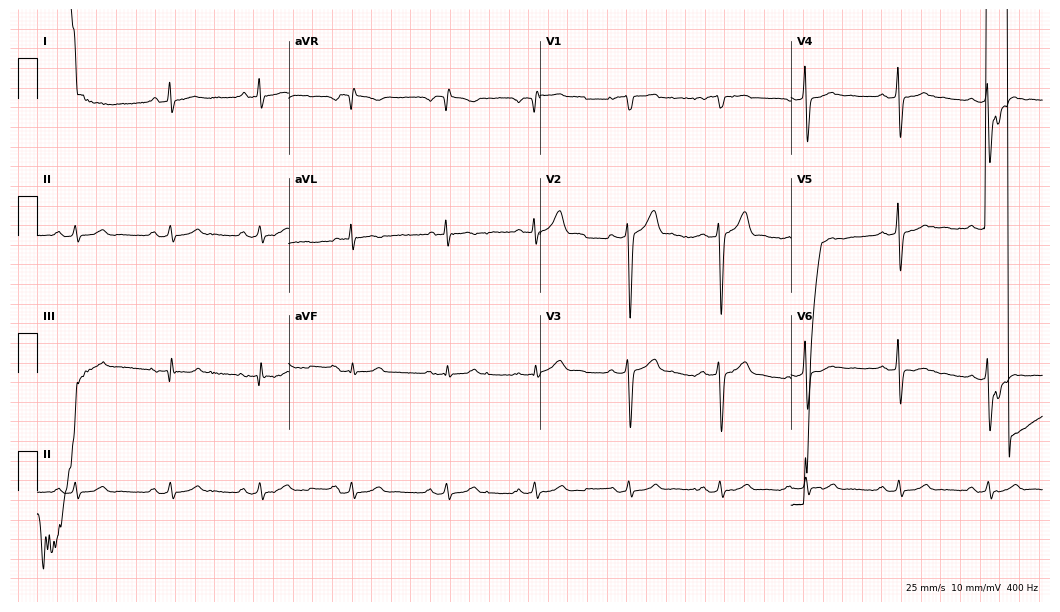
12-lead ECG from a male patient, 31 years old. No first-degree AV block, right bundle branch block (RBBB), left bundle branch block (LBBB), sinus bradycardia, atrial fibrillation (AF) or sinus tachycardia recorded for this tracing. Findings outside these six are not listed.